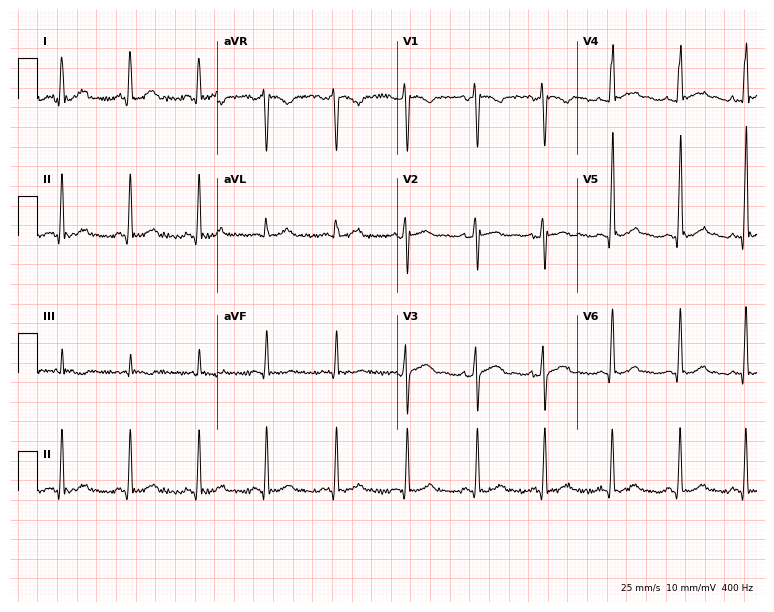
Electrocardiogram (7.3-second recording at 400 Hz), a female patient, 29 years old. Overall reading on record: normal ECG.